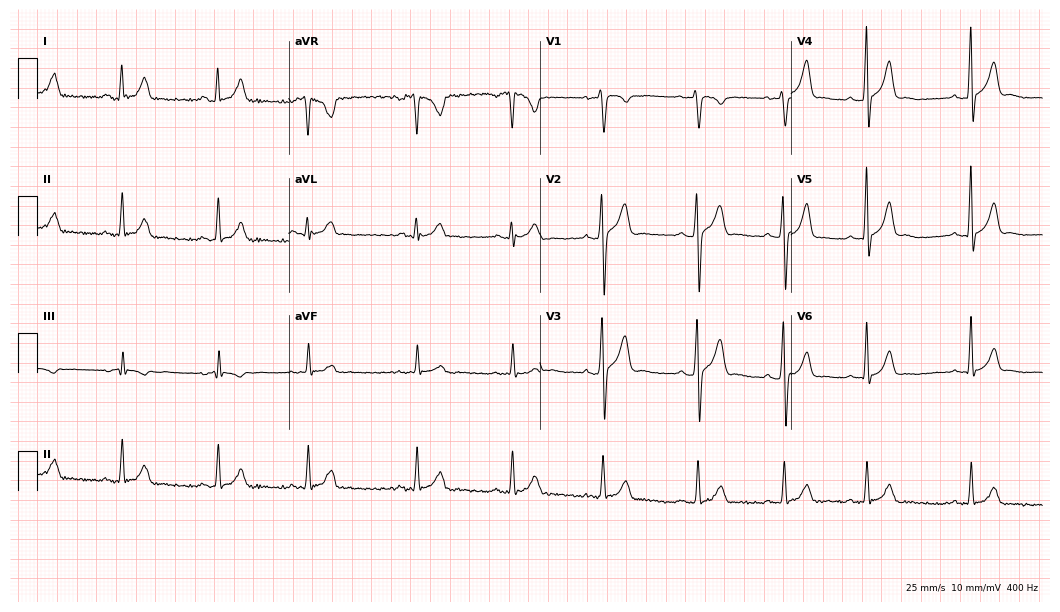
ECG — a male, 20 years old. Screened for six findings — first-degree AV block, right bundle branch block (RBBB), left bundle branch block (LBBB), sinus bradycardia, atrial fibrillation (AF), sinus tachycardia — none is recorded.